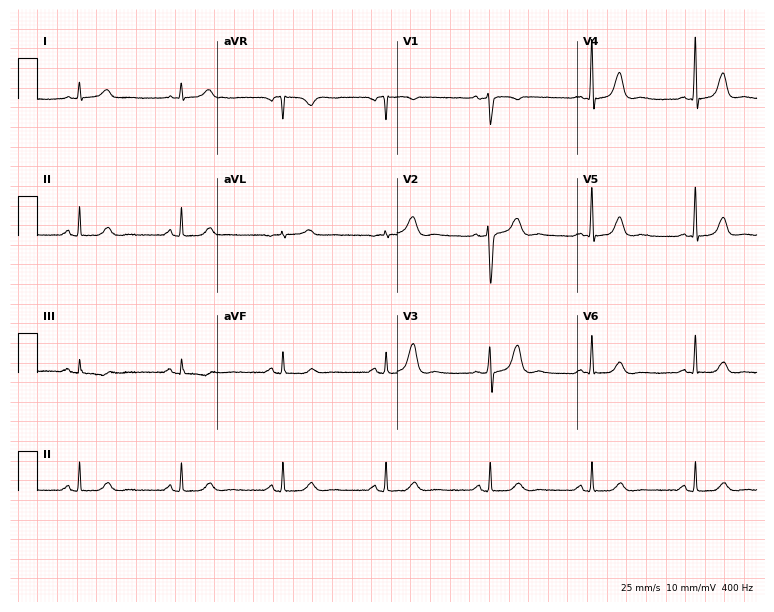
12-lead ECG from a 50-year-old female. Labelled as a normal ECG.